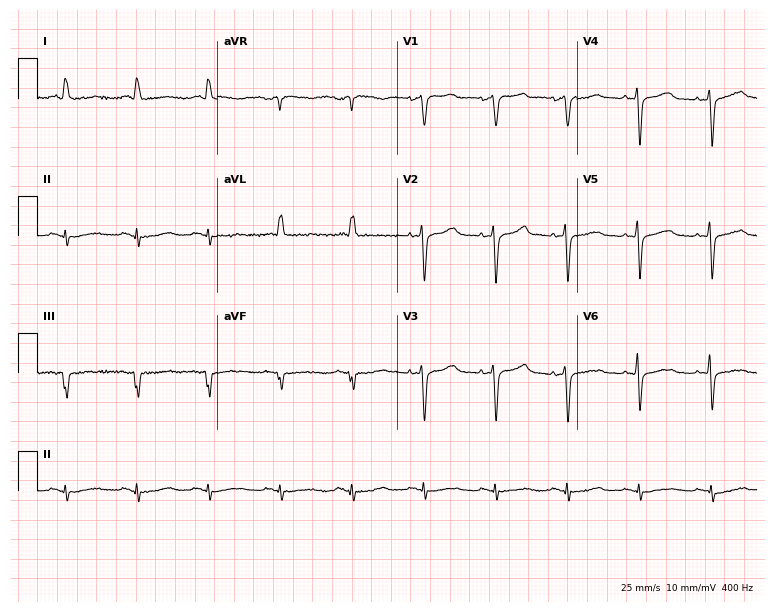
Electrocardiogram (7.3-second recording at 400 Hz), a male, 67 years old. Of the six screened findings (first-degree AV block, right bundle branch block (RBBB), left bundle branch block (LBBB), sinus bradycardia, atrial fibrillation (AF), sinus tachycardia), none is recorded. Only these six findings were labelled.